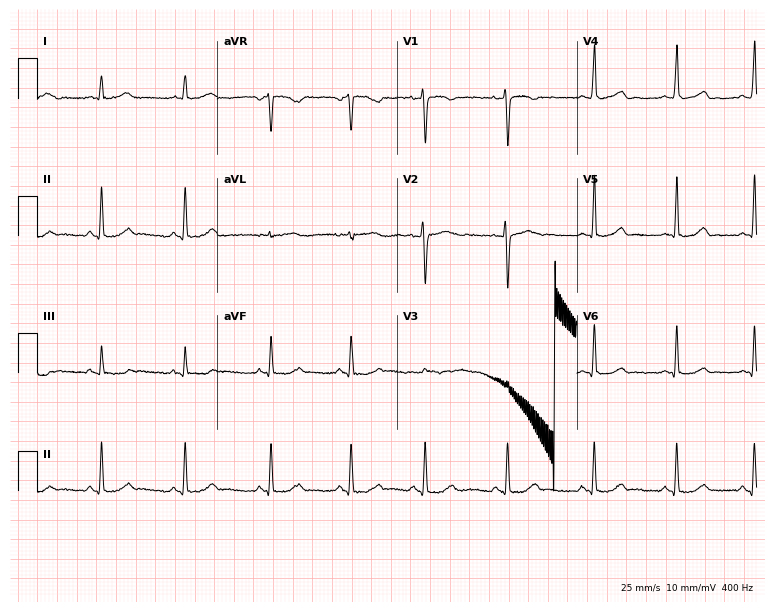
ECG (7.3-second recording at 400 Hz) — a woman, 21 years old. Labelled as a normal ECG.